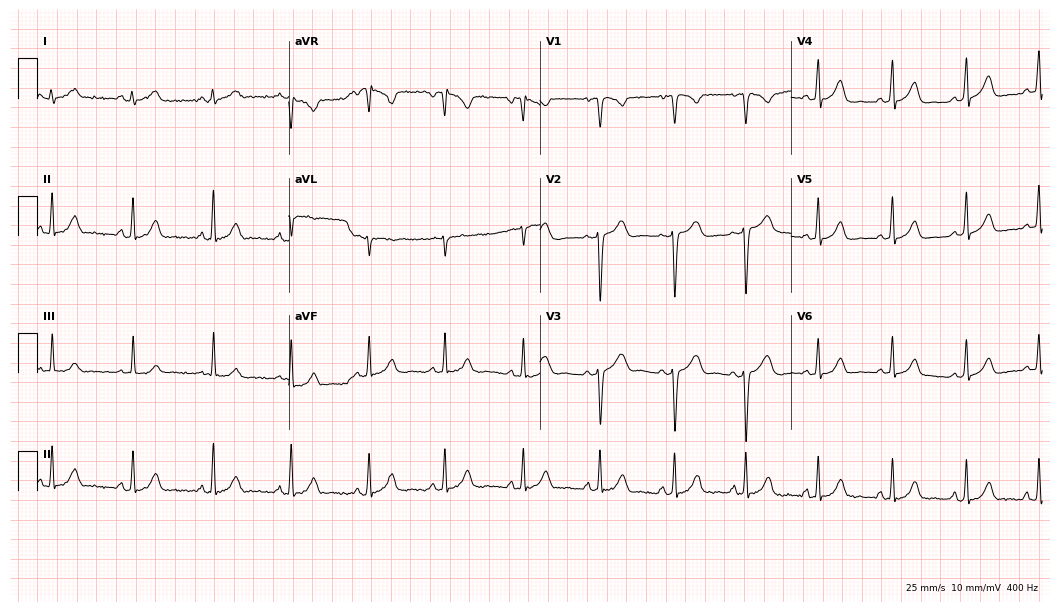
Electrocardiogram, a 34-year-old woman. Of the six screened findings (first-degree AV block, right bundle branch block (RBBB), left bundle branch block (LBBB), sinus bradycardia, atrial fibrillation (AF), sinus tachycardia), none is recorded.